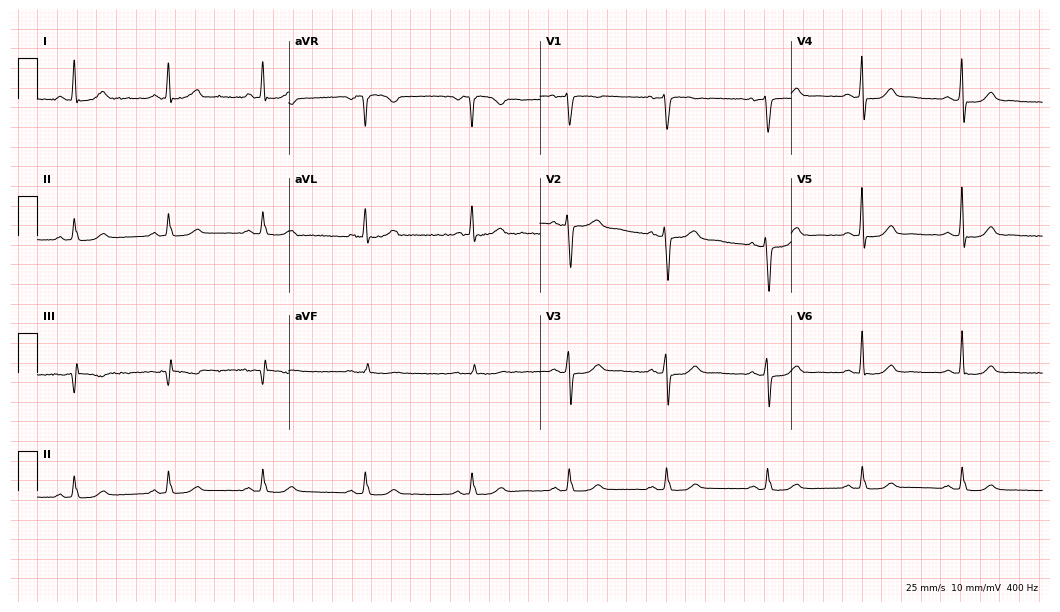
12-lead ECG from a woman, 51 years old (10.2-second recording at 400 Hz). Recorded interpretation: within normal limits.